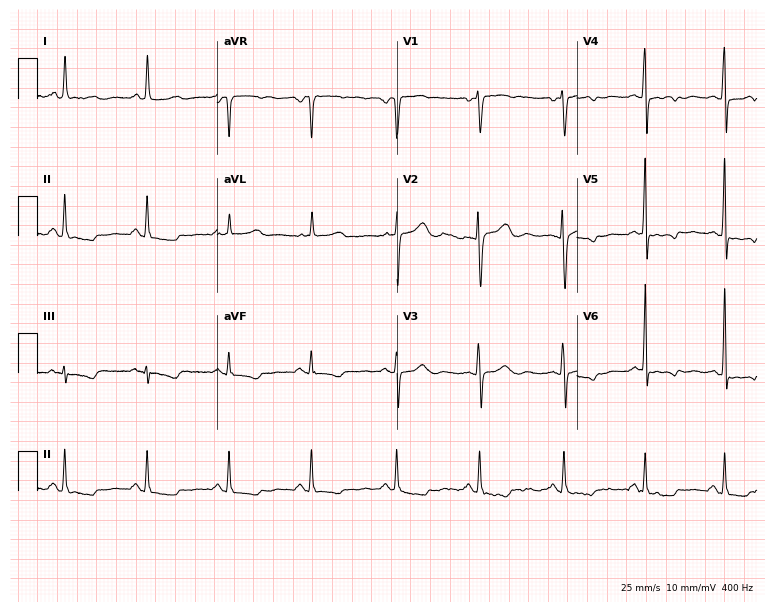
12-lead ECG from a female patient, 42 years old. Screened for six findings — first-degree AV block, right bundle branch block, left bundle branch block, sinus bradycardia, atrial fibrillation, sinus tachycardia — none is recorded.